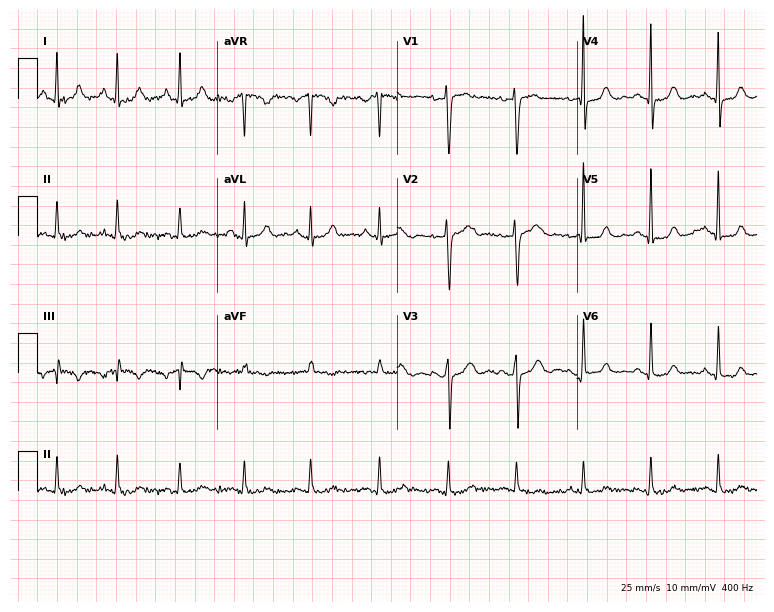
ECG (7.3-second recording at 400 Hz) — a woman, 53 years old. Screened for six findings — first-degree AV block, right bundle branch block (RBBB), left bundle branch block (LBBB), sinus bradycardia, atrial fibrillation (AF), sinus tachycardia — none is recorded.